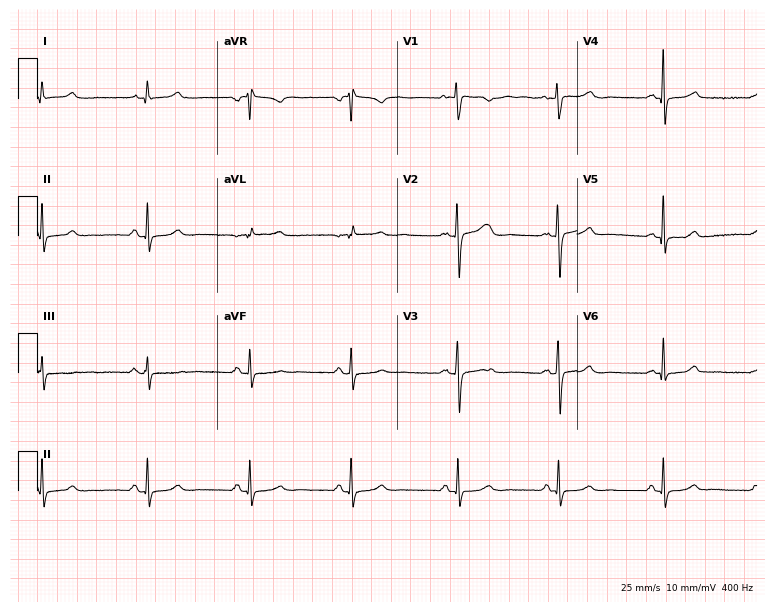
12-lead ECG (7.3-second recording at 400 Hz) from a 29-year-old woman. Labelled as a normal ECG.